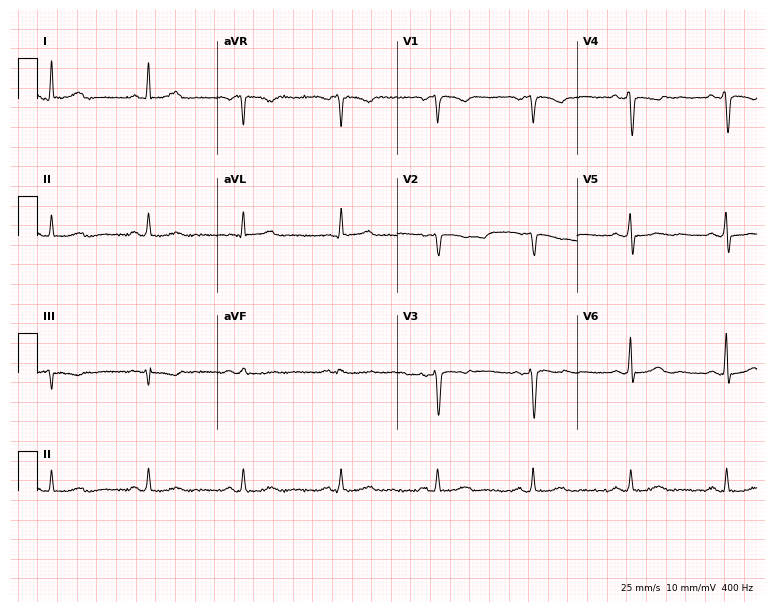
Standard 12-lead ECG recorded from a woman, 56 years old. None of these six findings is recorded: first-degree AV block, right bundle branch block, left bundle branch block, sinus bradycardia, atrial fibrillation, sinus tachycardia. Other findings, if any, are not listed.